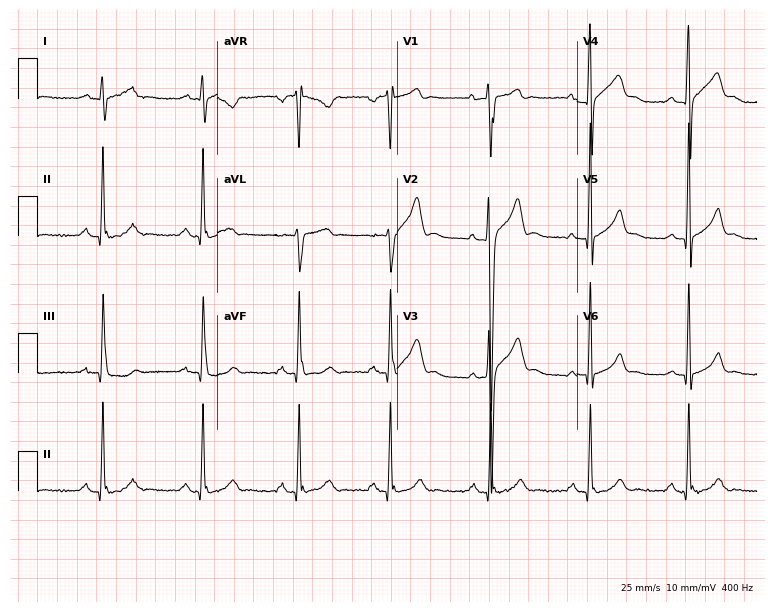
ECG (7.3-second recording at 400 Hz) — a male, 32 years old. Screened for six findings — first-degree AV block, right bundle branch block, left bundle branch block, sinus bradycardia, atrial fibrillation, sinus tachycardia — none is recorded. Findings outside these six are not listed.